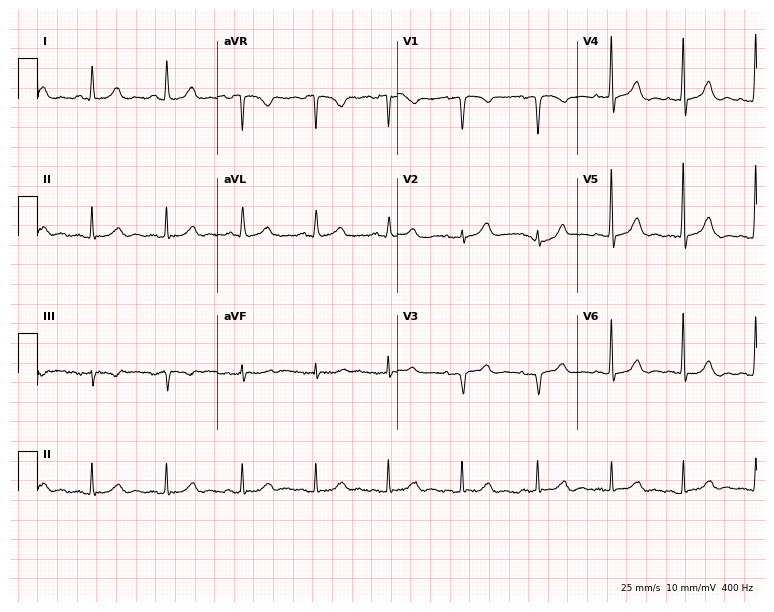
ECG — a 65-year-old female patient. Labelled as a normal ECG.